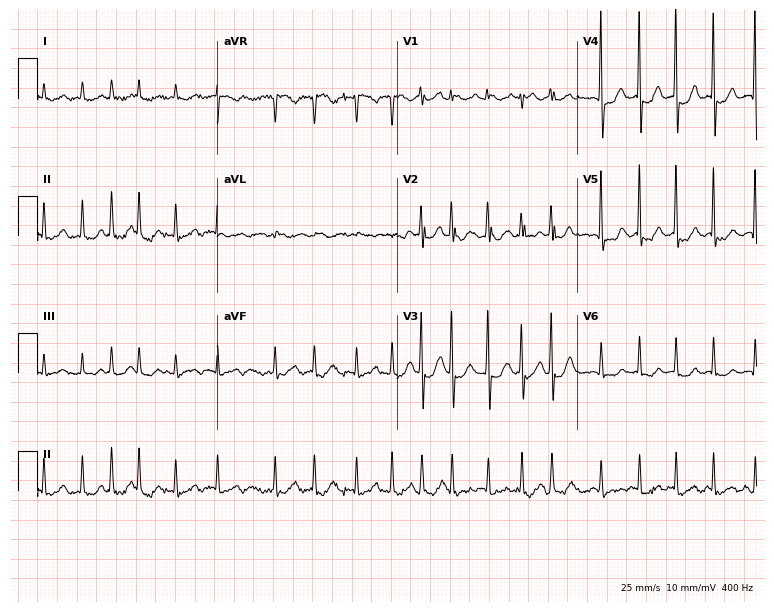
ECG (7.3-second recording at 400 Hz) — a 53-year-old female patient. Findings include atrial fibrillation.